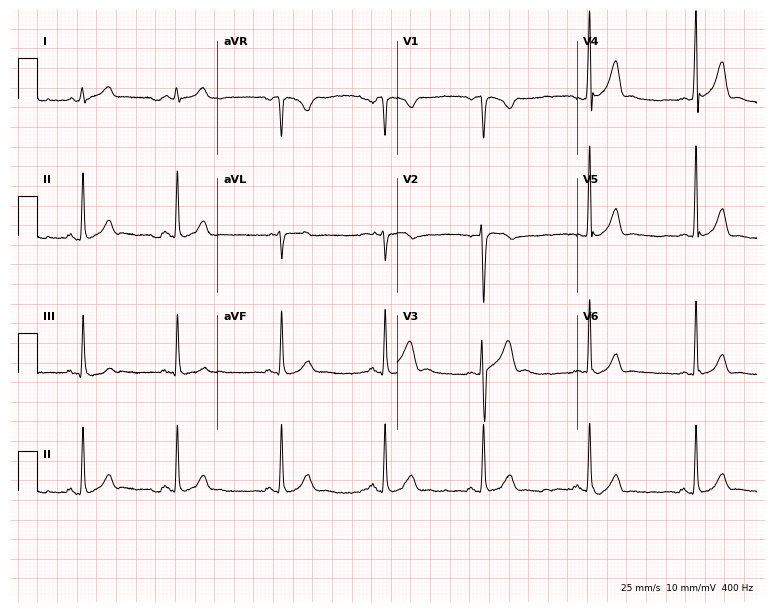
Resting 12-lead electrocardiogram (7.3-second recording at 400 Hz). Patient: a 19-year-old male. None of these six findings is recorded: first-degree AV block, right bundle branch block, left bundle branch block, sinus bradycardia, atrial fibrillation, sinus tachycardia. Only these six findings were labelled.